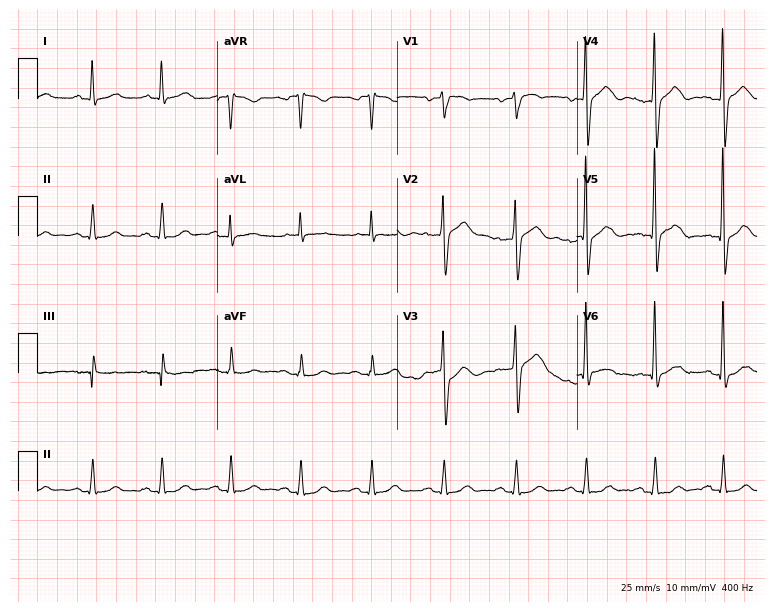
Standard 12-lead ECG recorded from a 55-year-old male patient (7.3-second recording at 400 Hz). Read as a normal ECG.